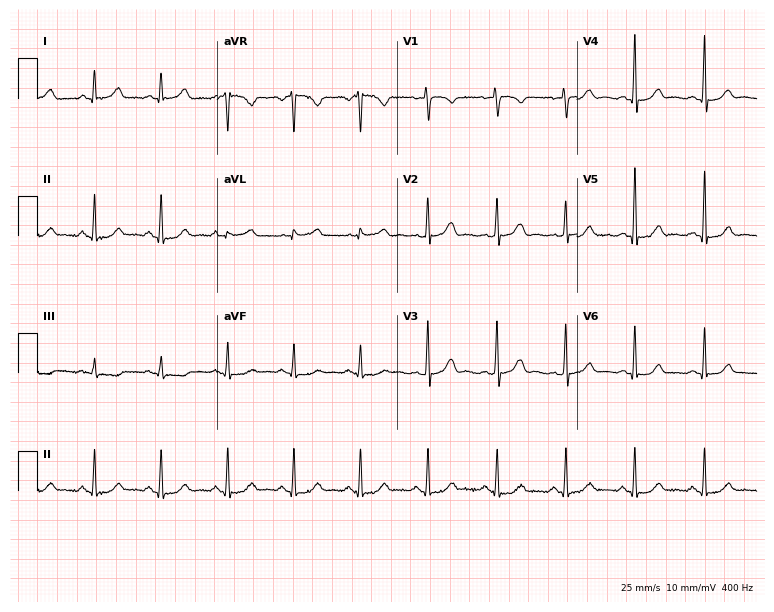
12-lead ECG (7.3-second recording at 400 Hz) from a 49-year-old woman. Labelled as a normal ECG.